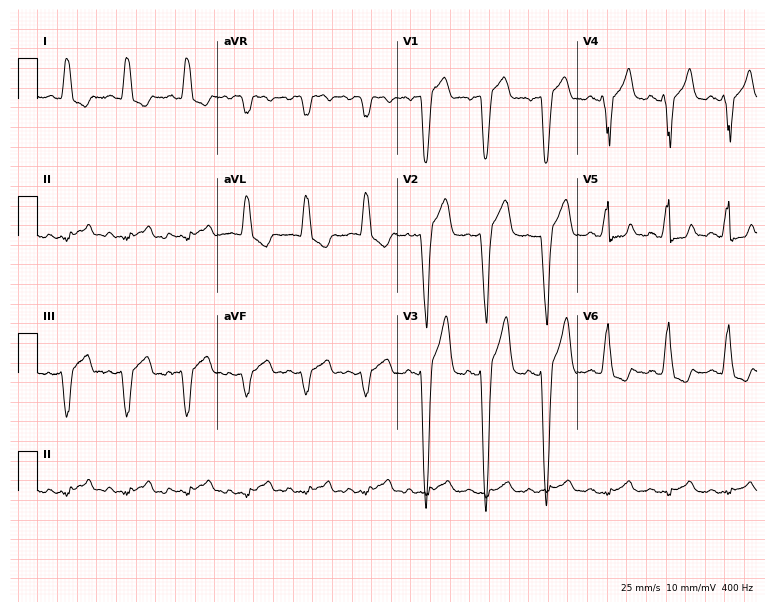
12-lead ECG from a male, 57 years old. Screened for six findings — first-degree AV block, right bundle branch block, left bundle branch block, sinus bradycardia, atrial fibrillation, sinus tachycardia — none is recorded. Findings outside these six are not listed.